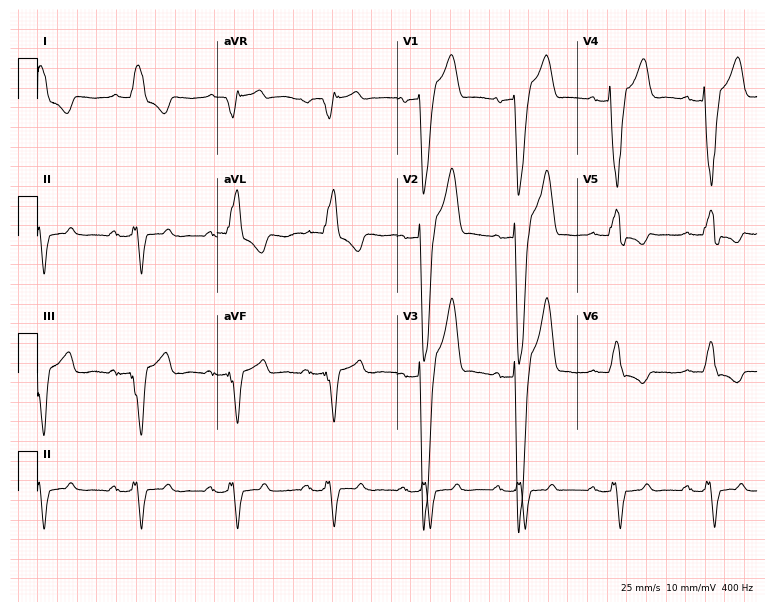
Electrocardiogram, a 71-year-old man. Interpretation includes left bundle branch block.